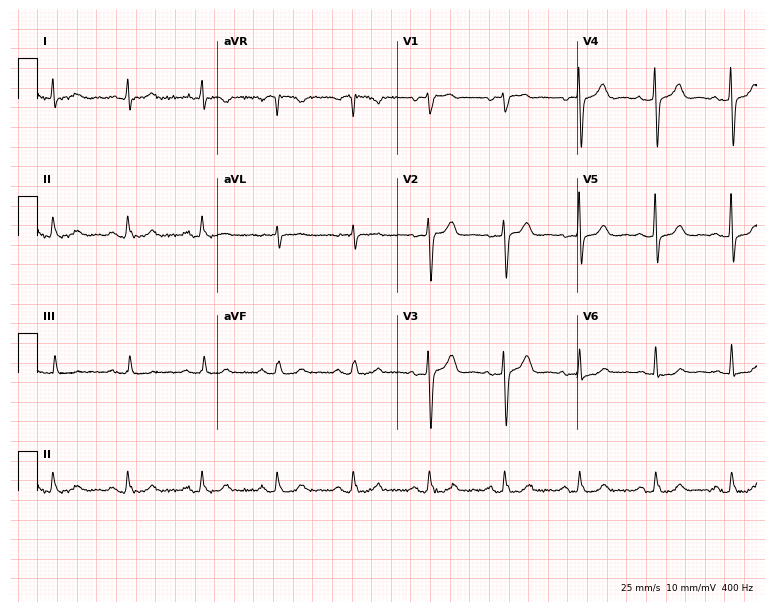
Resting 12-lead electrocardiogram. Patient: a male, 59 years old. Read as a normal ECG.